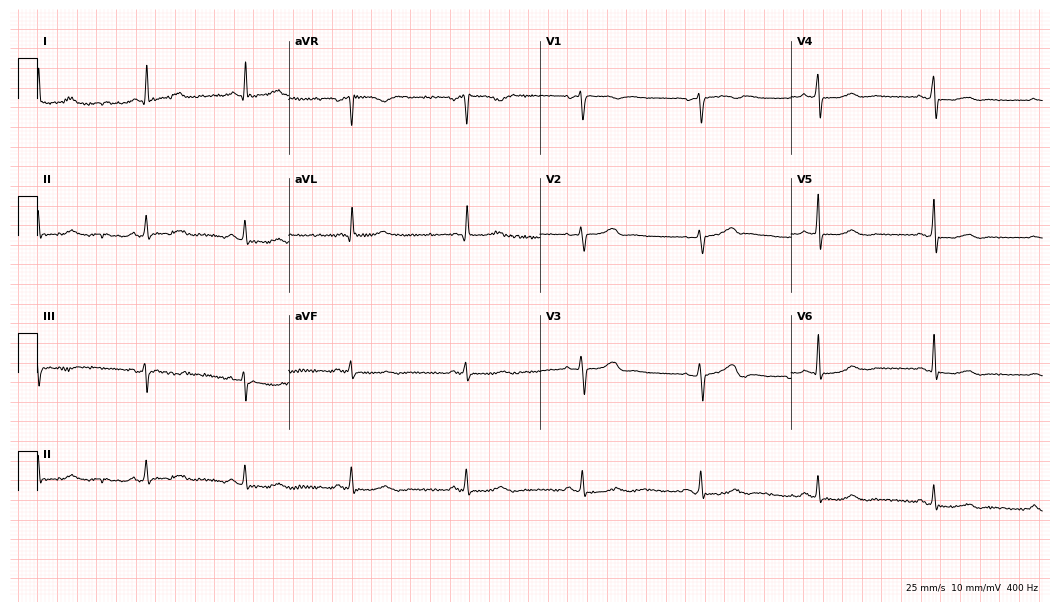
Resting 12-lead electrocardiogram. Patient: a female, 65 years old. Read as a normal ECG.